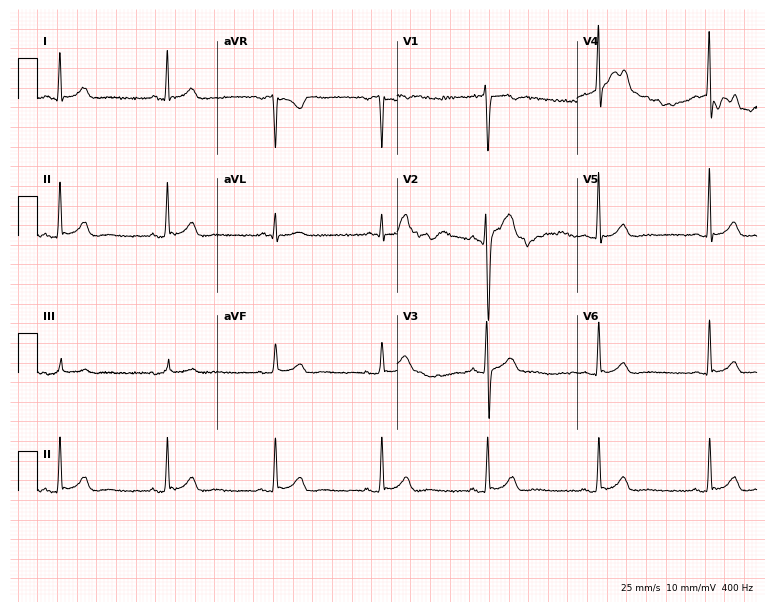
Electrocardiogram (7.3-second recording at 400 Hz), a 31-year-old man. Overall reading on record: normal ECG.